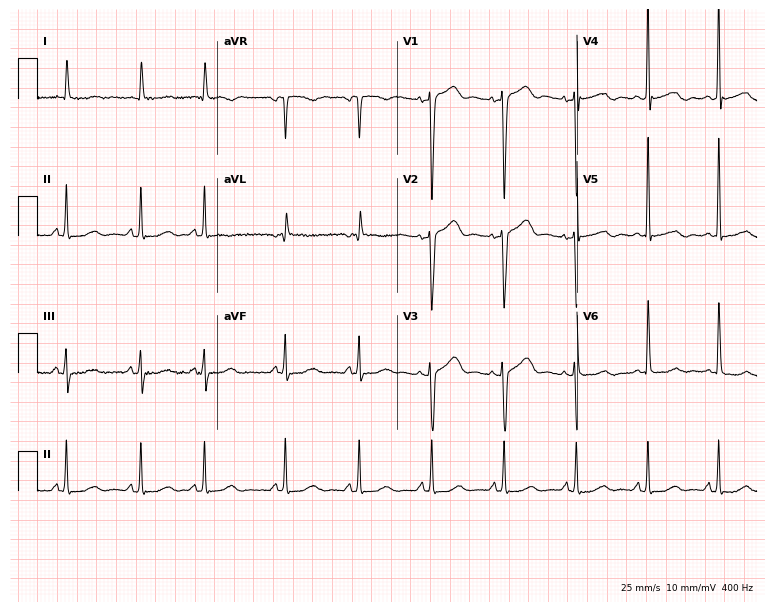
Electrocardiogram (7.3-second recording at 400 Hz), a 69-year-old female. Of the six screened findings (first-degree AV block, right bundle branch block, left bundle branch block, sinus bradycardia, atrial fibrillation, sinus tachycardia), none is recorded.